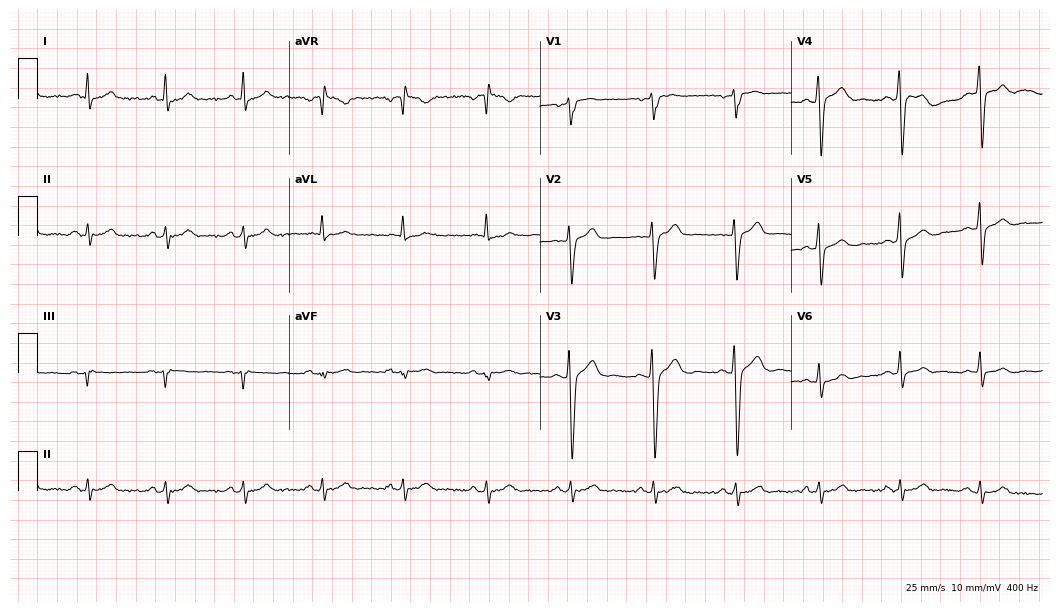
Resting 12-lead electrocardiogram. Patient: a man, 37 years old. None of these six findings is recorded: first-degree AV block, right bundle branch block, left bundle branch block, sinus bradycardia, atrial fibrillation, sinus tachycardia.